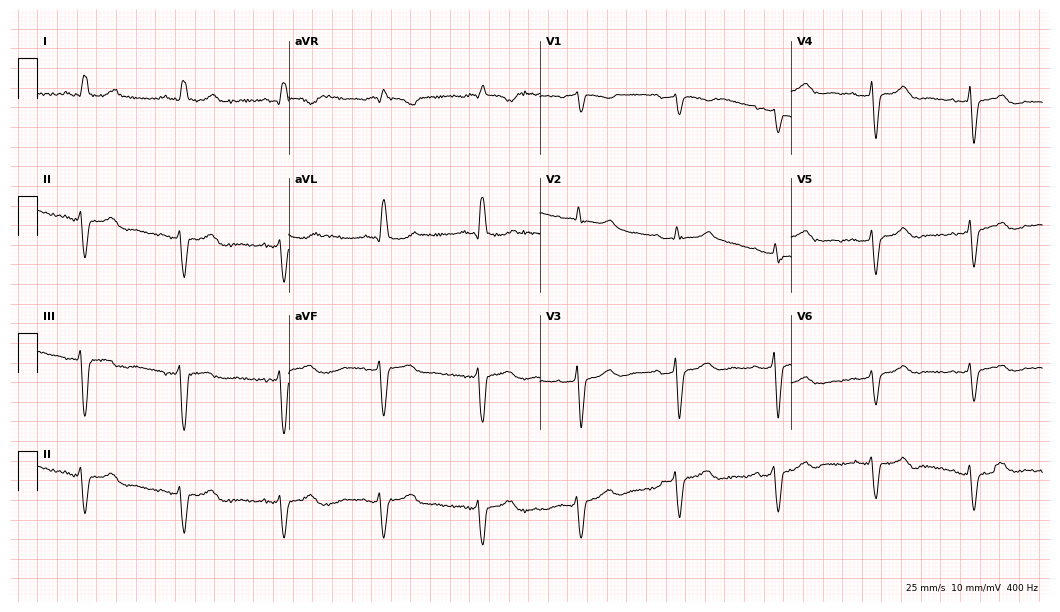
Electrocardiogram, a woman, 79 years old. Of the six screened findings (first-degree AV block, right bundle branch block, left bundle branch block, sinus bradycardia, atrial fibrillation, sinus tachycardia), none is recorded.